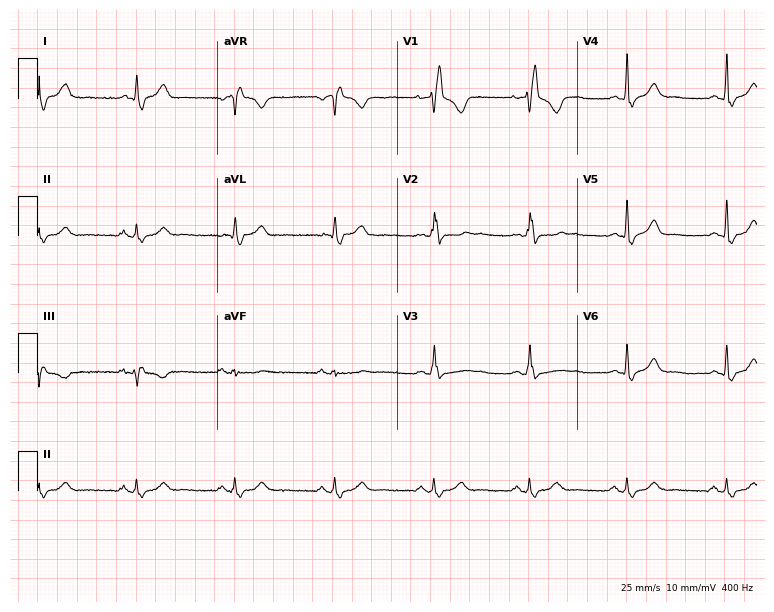
Resting 12-lead electrocardiogram (7.3-second recording at 400 Hz). Patient: a 35-year-old woman. The tracing shows right bundle branch block (RBBB).